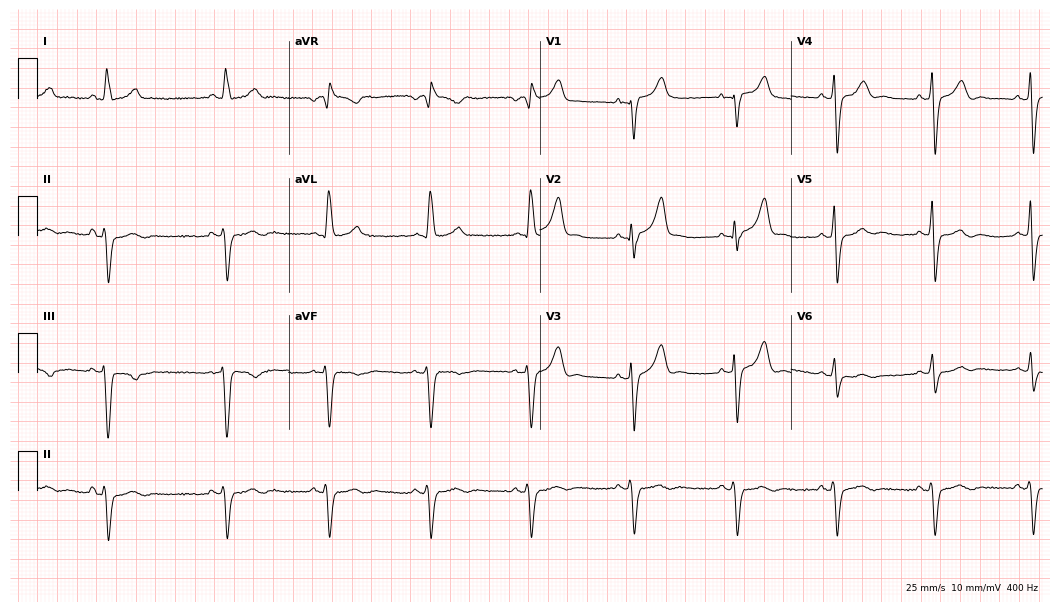
Electrocardiogram (10.2-second recording at 400 Hz), a 77-year-old male. Of the six screened findings (first-degree AV block, right bundle branch block (RBBB), left bundle branch block (LBBB), sinus bradycardia, atrial fibrillation (AF), sinus tachycardia), none is recorded.